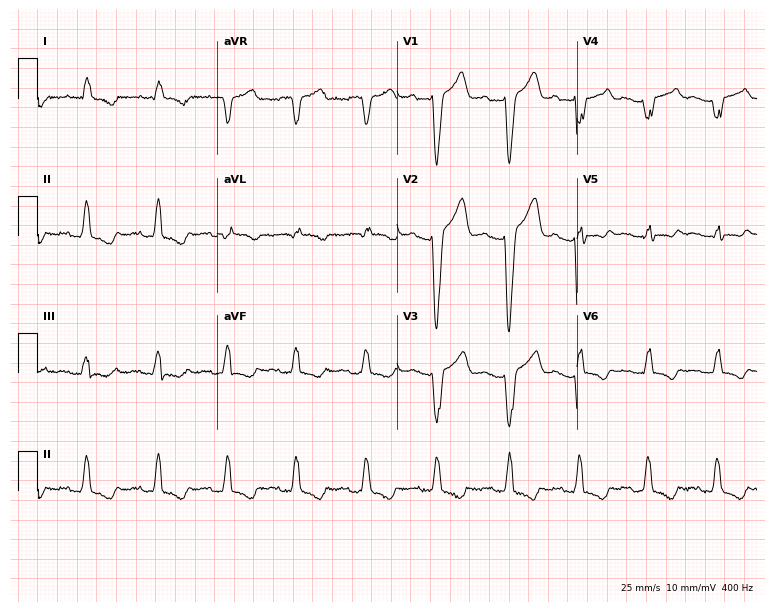
Standard 12-lead ECG recorded from a 67-year-old woman (7.3-second recording at 400 Hz). The tracing shows first-degree AV block.